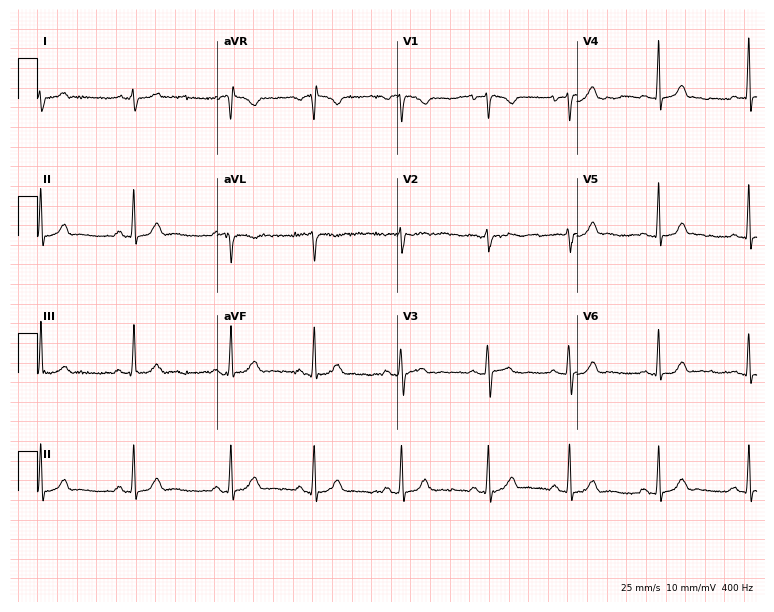
Resting 12-lead electrocardiogram. Patient: an 18-year-old female. Read as a normal ECG.